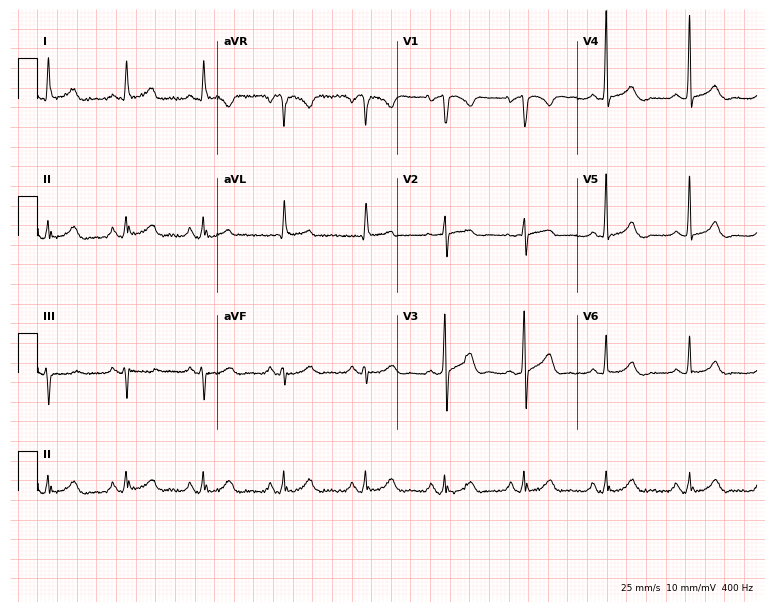
Electrocardiogram (7.3-second recording at 400 Hz), an 81-year-old male. Of the six screened findings (first-degree AV block, right bundle branch block, left bundle branch block, sinus bradycardia, atrial fibrillation, sinus tachycardia), none is recorded. Findings outside these six are not listed.